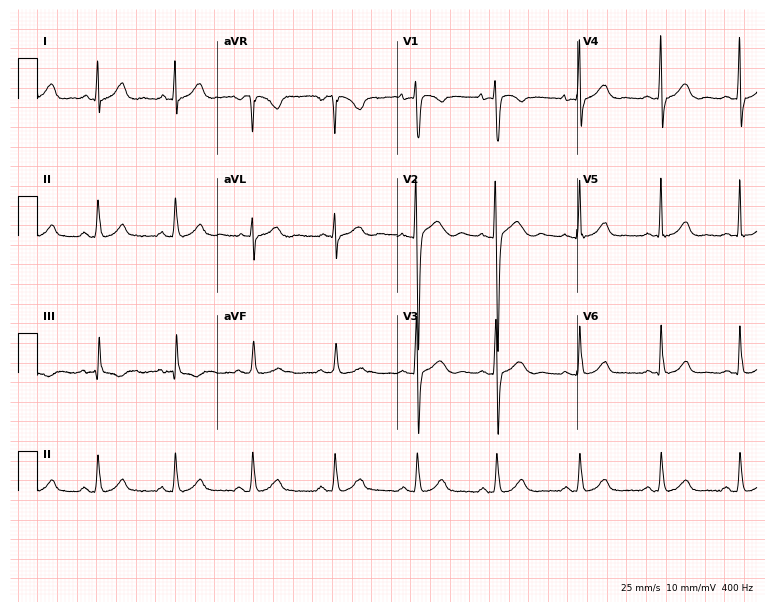
Electrocardiogram (7.3-second recording at 400 Hz), a woman, 24 years old. Of the six screened findings (first-degree AV block, right bundle branch block, left bundle branch block, sinus bradycardia, atrial fibrillation, sinus tachycardia), none is recorded. Findings outside these six are not listed.